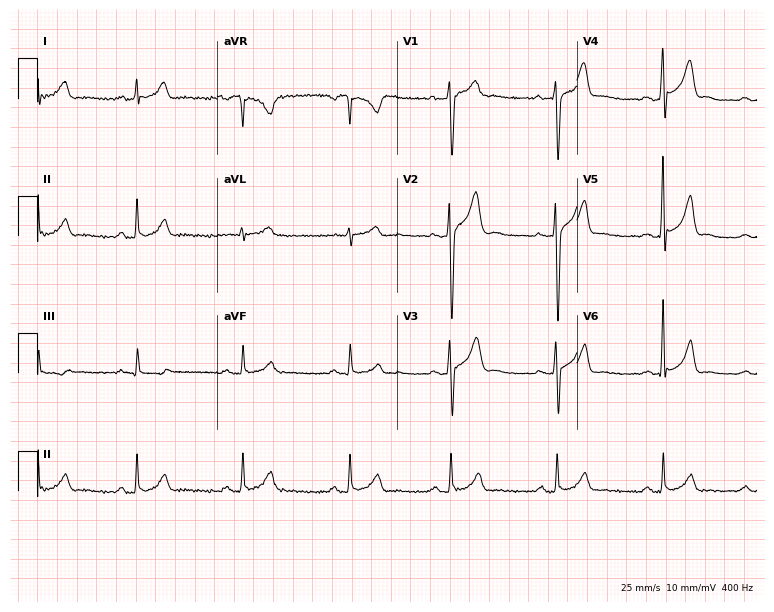
12-lead ECG from a 30-year-old male patient (7.3-second recording at 400 Hz). Recorded interpretation: within normal limits.